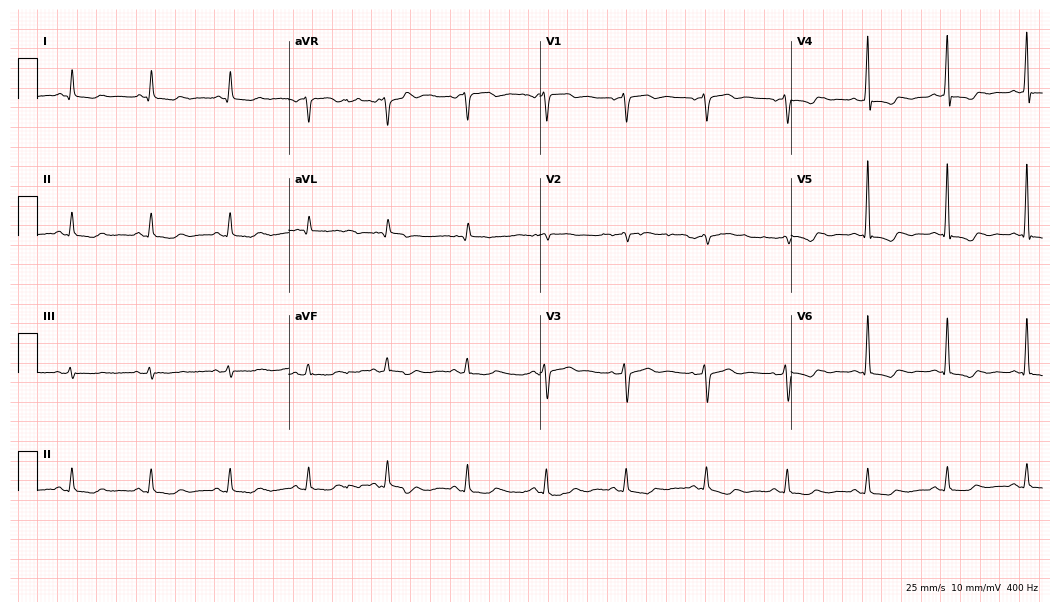
Resting 12-lead electrocardiogram (10.2-second recording at 400 Hz). Patient: a 55-year-old female. None of these six findings is recorded: first-degree AV block, right bundle branch block (RBBB), left bundle branch block (LBBB), sinus bradycardia, atrial fibrillation (AF), sinus tachycardia. Only these six findings were labelled.